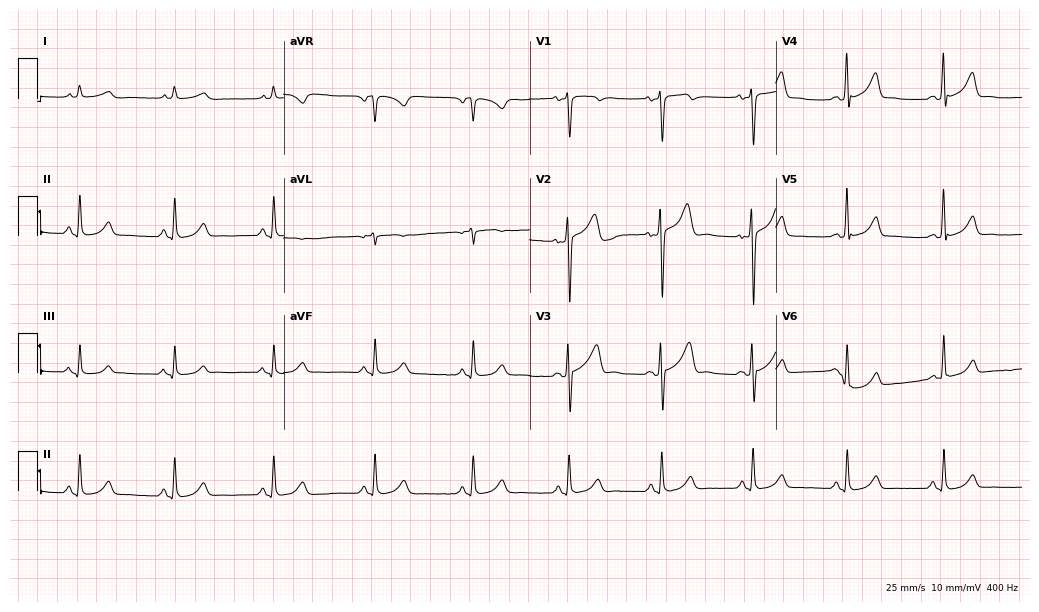
12-lead ECG from a male, 45 years old (10-second recording at 400 Hz). Recorded interpretation: within normal limits.